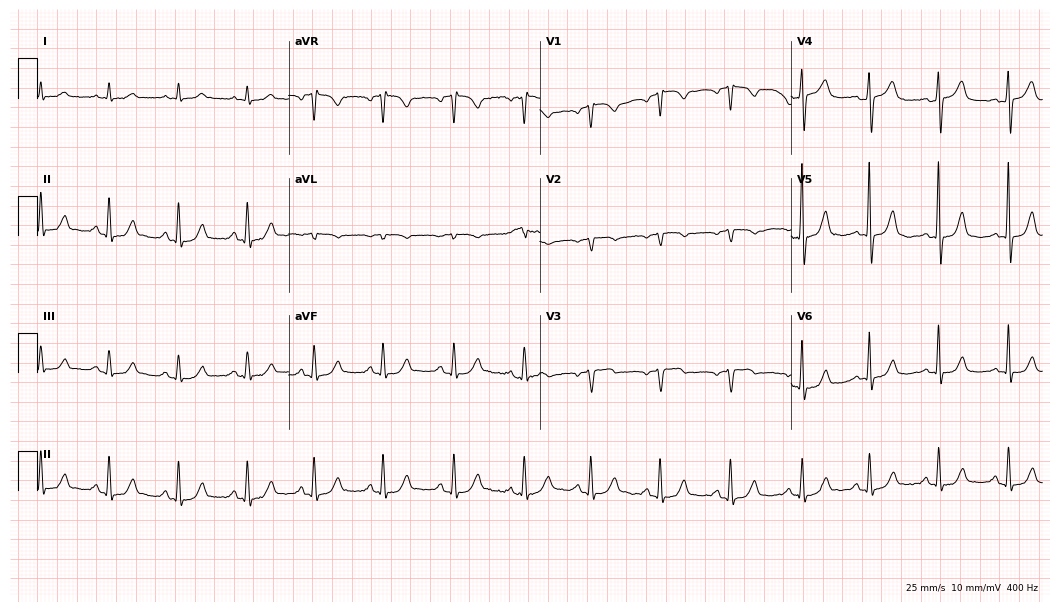
12-lead ECG (10.2-second recording at 400 Hz) from a 59-year-old female. Screened for six findings — first-degree AV block, right bundle branch block, left bundle branch block, sinus bradycardia, atrial fibrillation, sinus tachycardia — none is recorded.